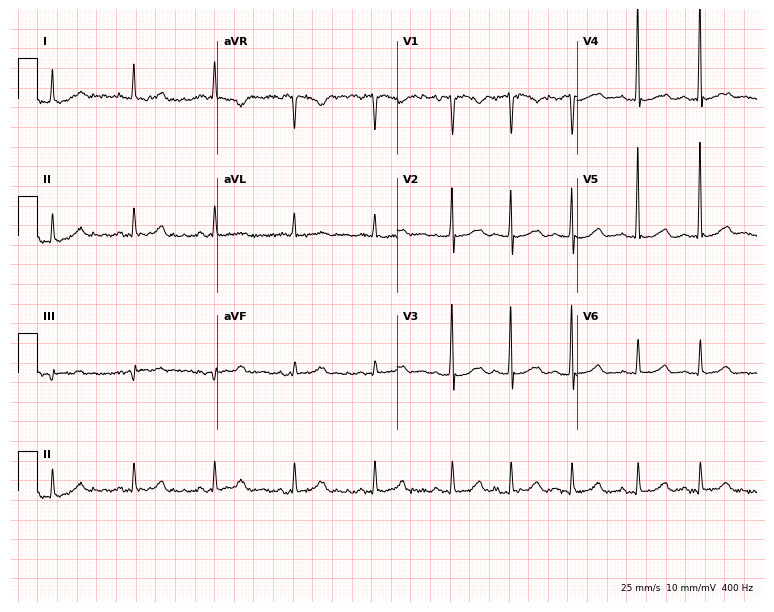
12-lead ECG from a woman, 83 years old. Labelled as a normal ECG.